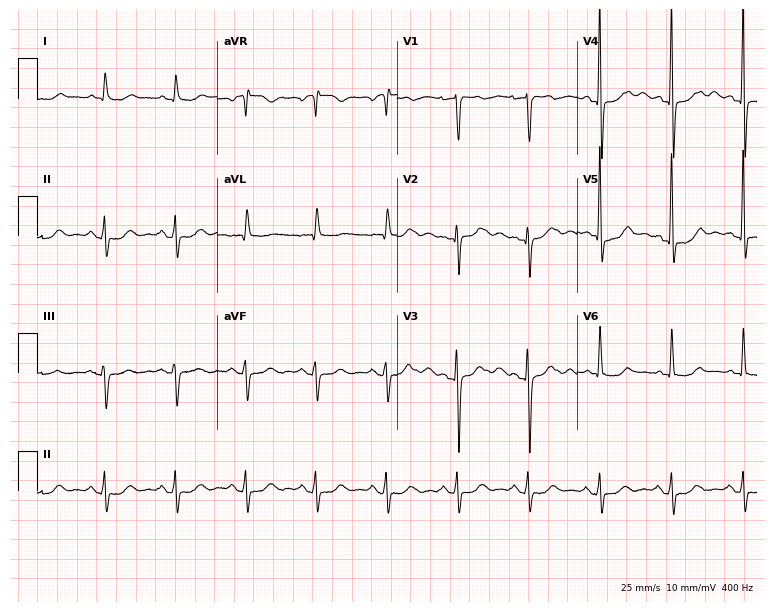
Standard 12-lead ECG recorded from a male patient, 76 years old. None of these six findings is recorded: first-degree AV block, right bundle branch block, left bundle branch block, sinus bradycardia, atrial fibrillation, sinus tachycardia.